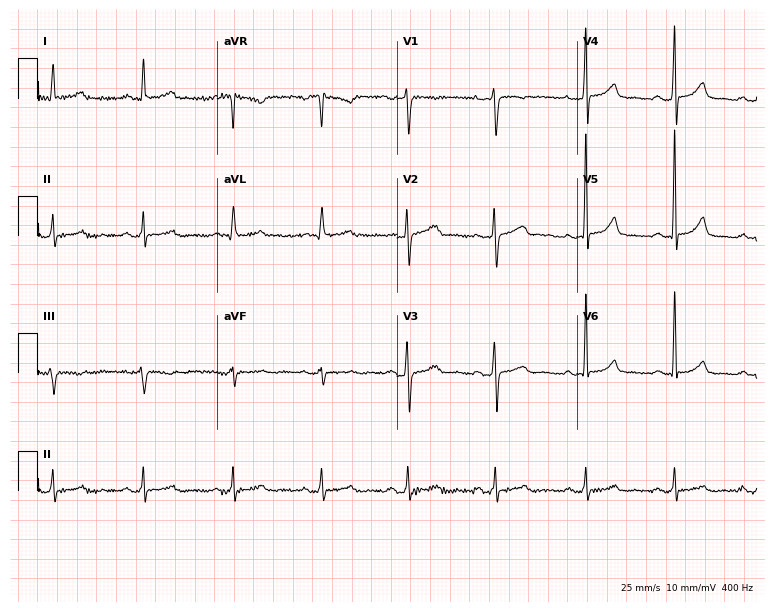
Electrocardiogram, a 53-year-old female patient. Overall reading on record: normal ECG.